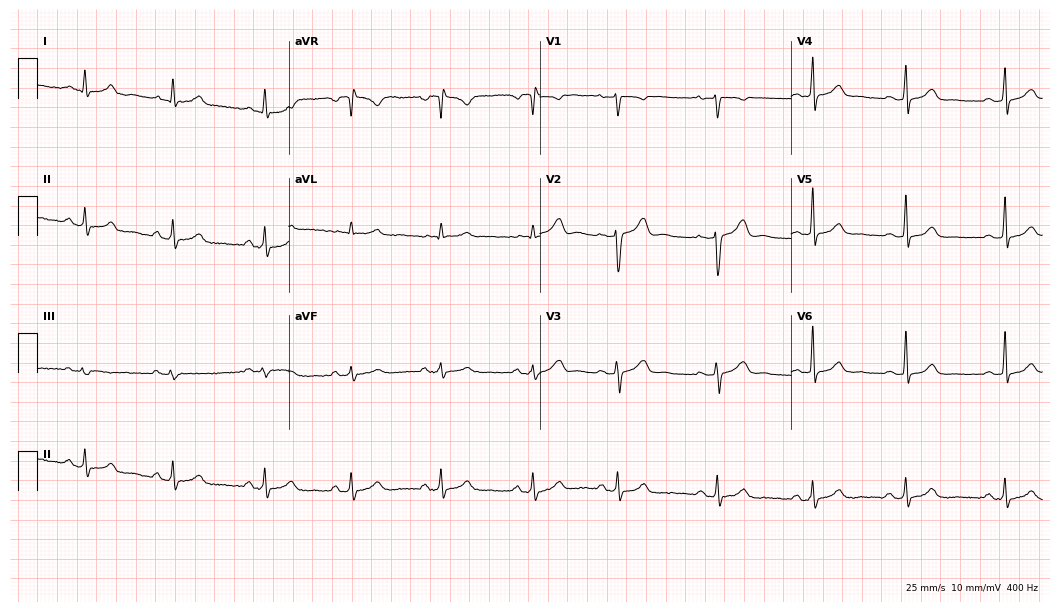
Resting 12-lead electrocardiogram. Patient: a female, 30 years old. Read as a normal ECG.